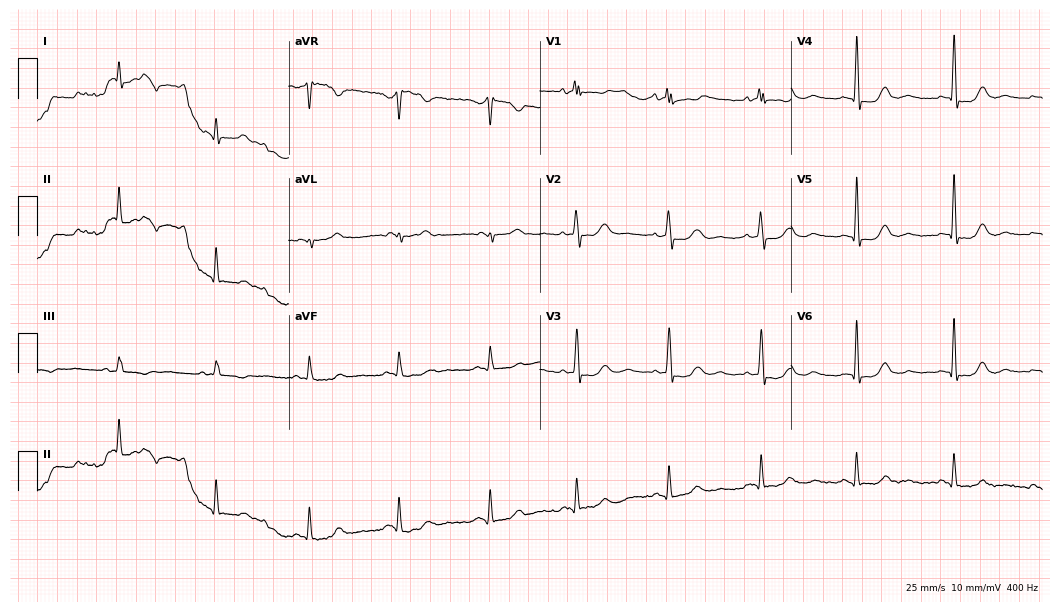
Standard 12-lead ECG recorded from a 65-year-old female (10.2-second recording at 400 Hz). Read as a normal ECG.